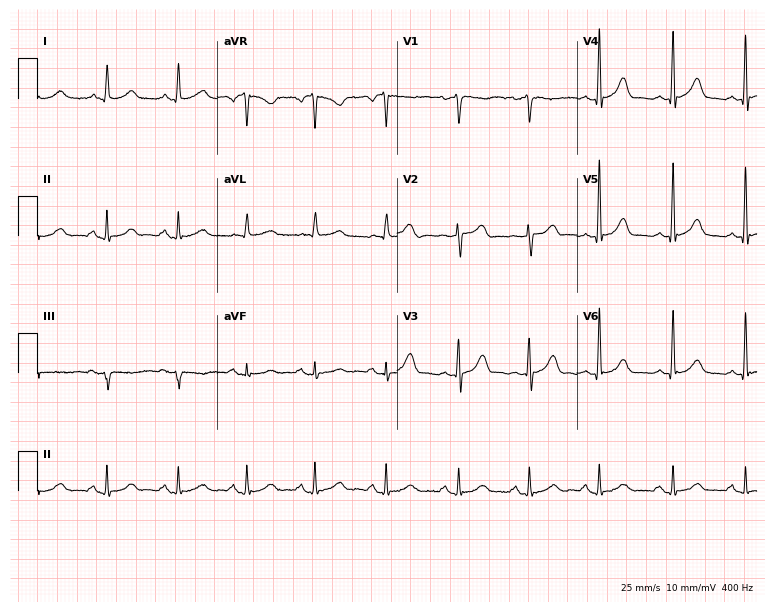
ECG — a 61-year-old female. Labelled as a normal ECG.